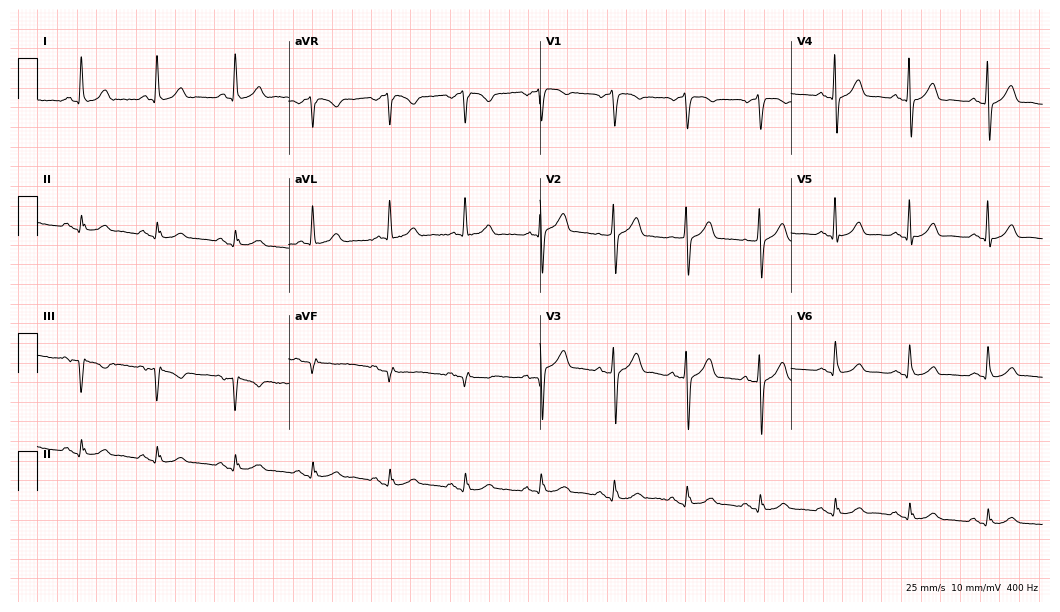
12-lead ECG from a man, 68 years old (10.2-second recording at 400 Hz). No first-degree AV block, right bundle branch block (RBBB), left bundle branch block (LBBB), sinus bradycardia, atrial fibrillation (AF) or sinus tachycardia recorded for this tracing. Other findings, if any, are not listed.